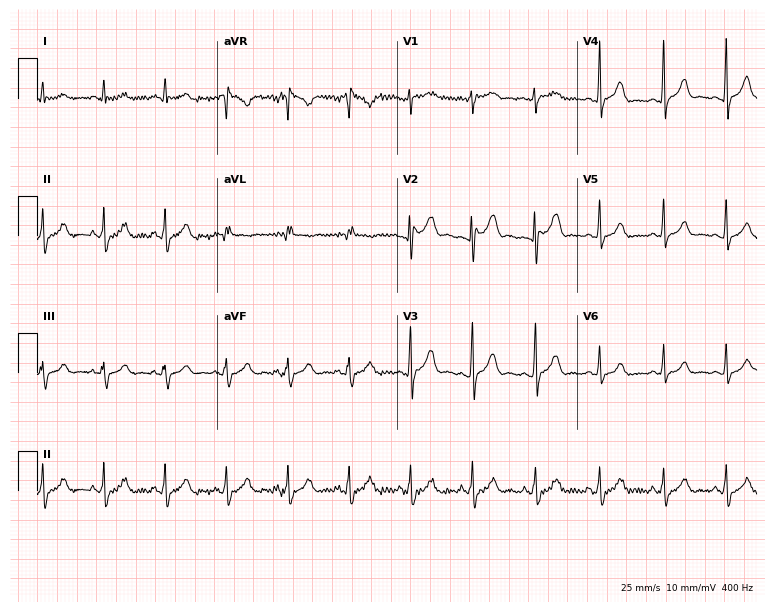
12-lead ECG (7.3-second recording at 400 Hz) from a female, 20 years old. Labelled as a normal ECG.